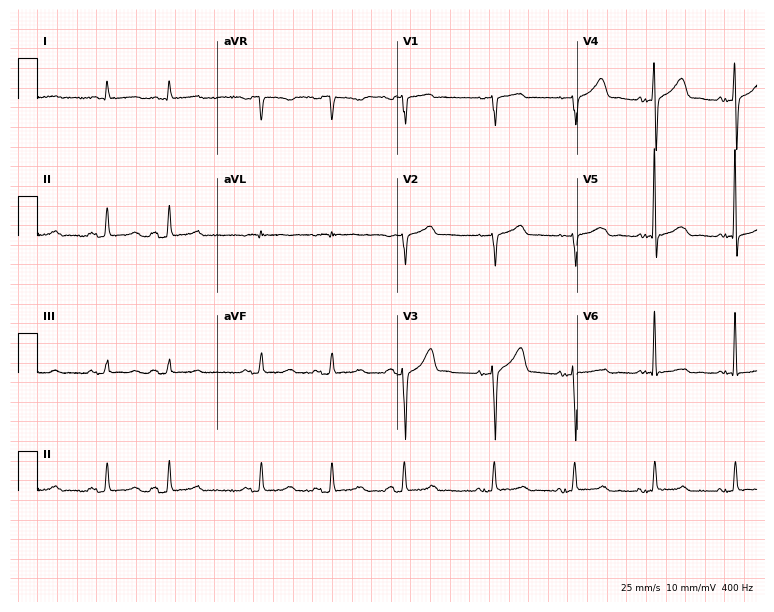
Resting 12-lead electrocardiogram. Patient: a woman, 71 years old. None of these six findings is recorded: first-degree AV block, right bundle branch block, left bundle branch block, sinus bradycardia, atrial fibrillation, sinus tachycardia. Other findings, if any, are not listed.